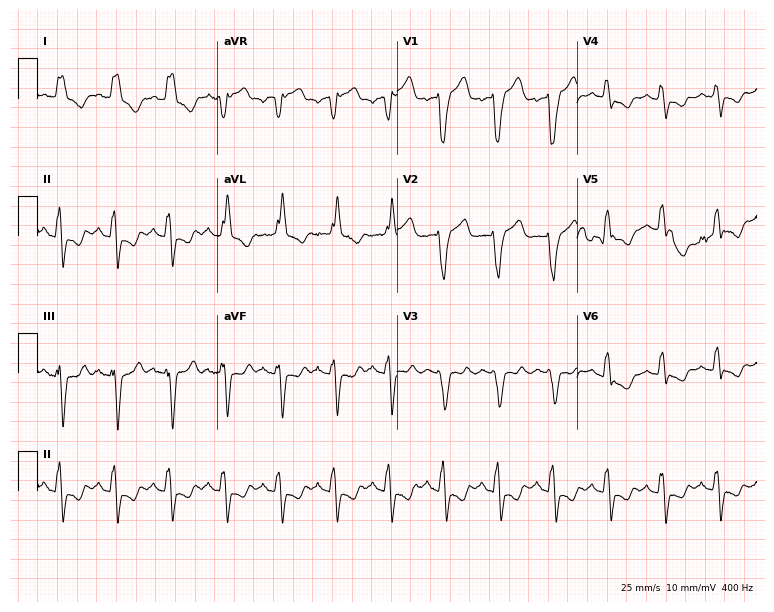
12-lead ECG (7.3-second recording at 400 Hz) from a woman, 83 years old. Findings include left bundle branch block (LBBB).